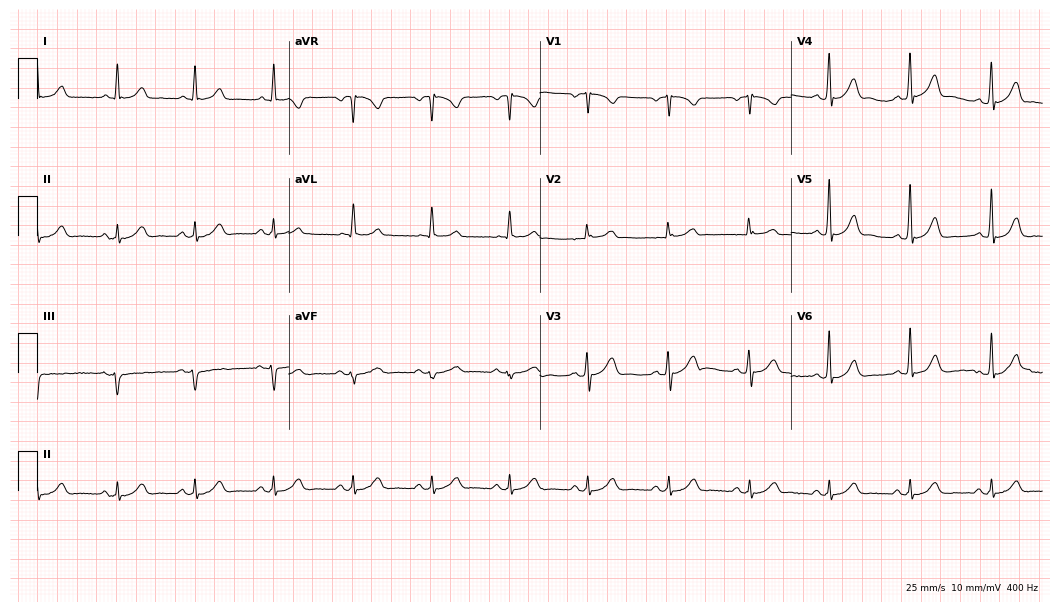
12-lead ECG from a 62-year-old male patient. Labelled as a normal ECG.